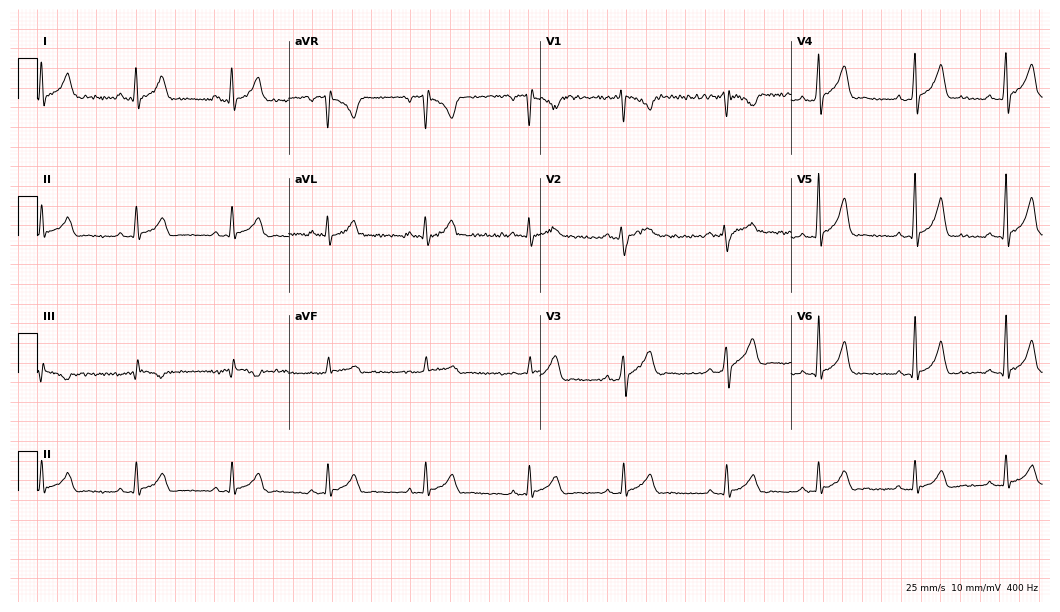
Standard 12-lead ECG recorded from a 25-year-old man. Read as a normal ECG.